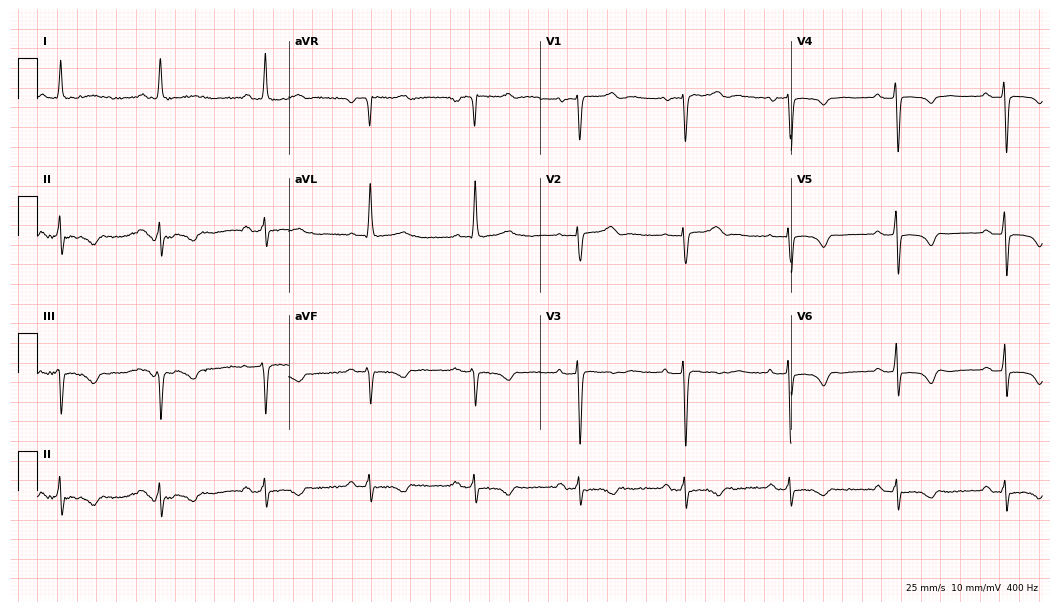
12-lead ECG from a woman, 67 years old. No first-degree AV block, right bundle branch block, left bundle branch block, sinus bradycardia, atrial fibrillation or sinus tachycardia recorded for this tracing. Other findings, if any, are not listed.